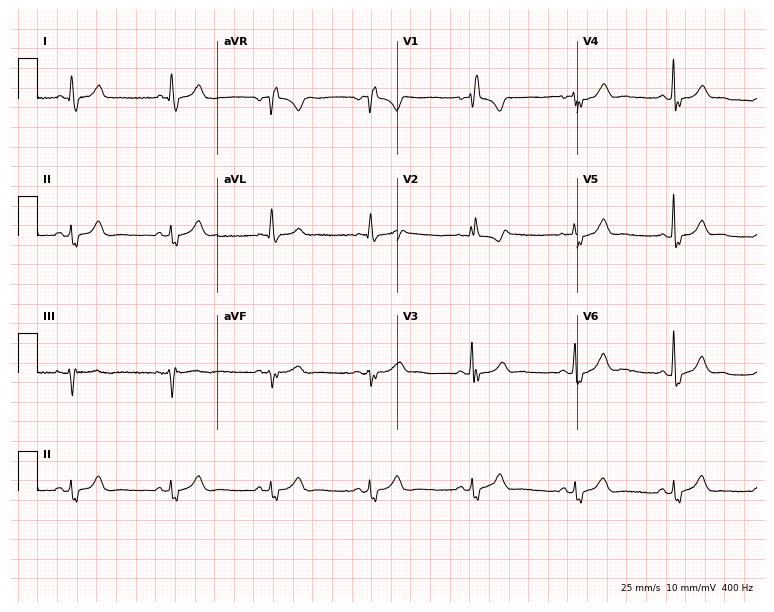
Electrocardiogram, a male patient, 56 years old. Of the six screened findings (first-degree AV block, right bundle branch block, left bundle branch block, sinus bradycardia, atrial fibrillation, sinus tachycardia), none is recorded.